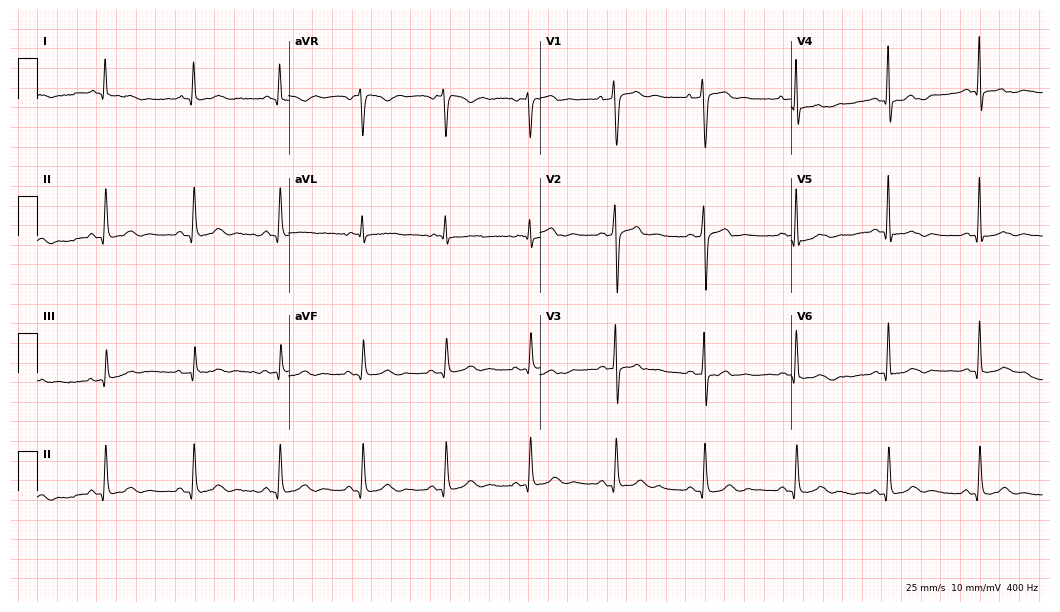
12-lead ECG from a man, 54 years old. No first-degree AV block, right bundle branch block, left bundle branch block, sinus bradycardia, atrial fibrillation or sinus tachycardia recorded for this tracing. Other findings, if any, are not listed.